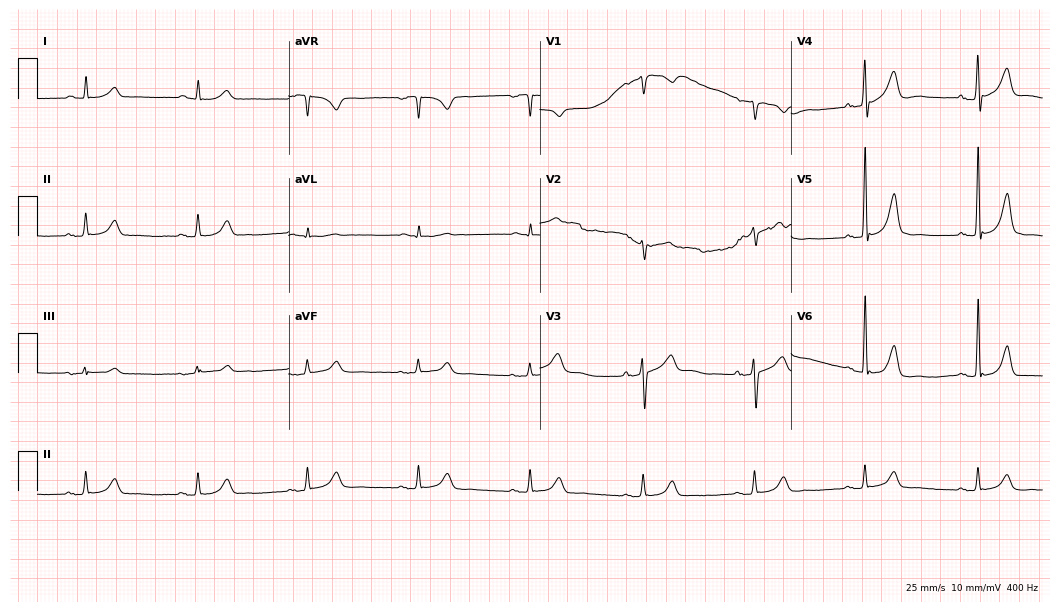
Electrocardiogram, a 68-year-old male patient. Overall reading on record: normal ECG.